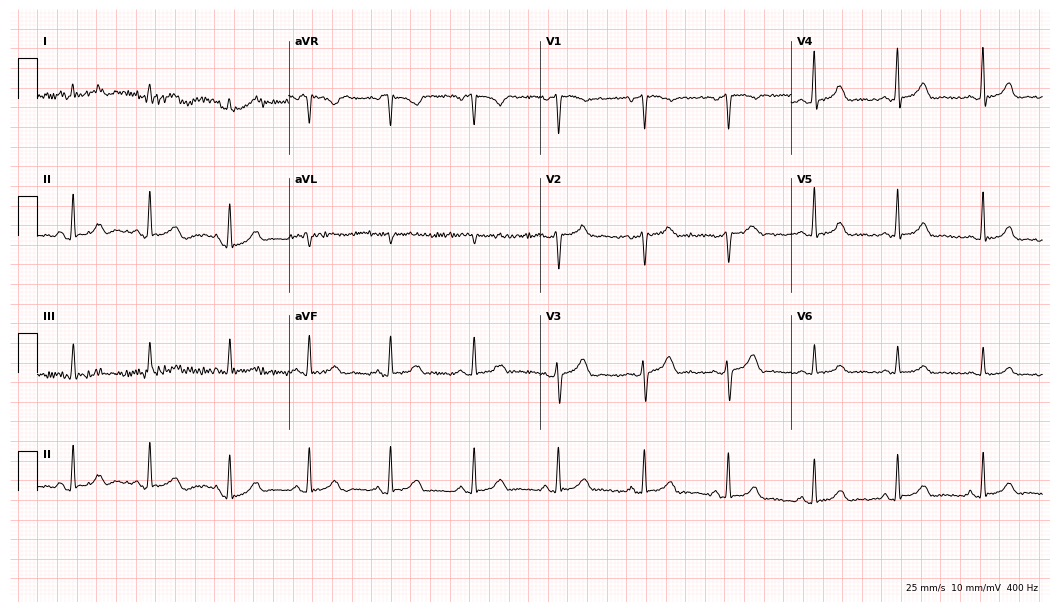
12-lead ECG from a female, 49 years old (10.2-second recording at 400 Hz). Recorded interpretation: within normal limits.